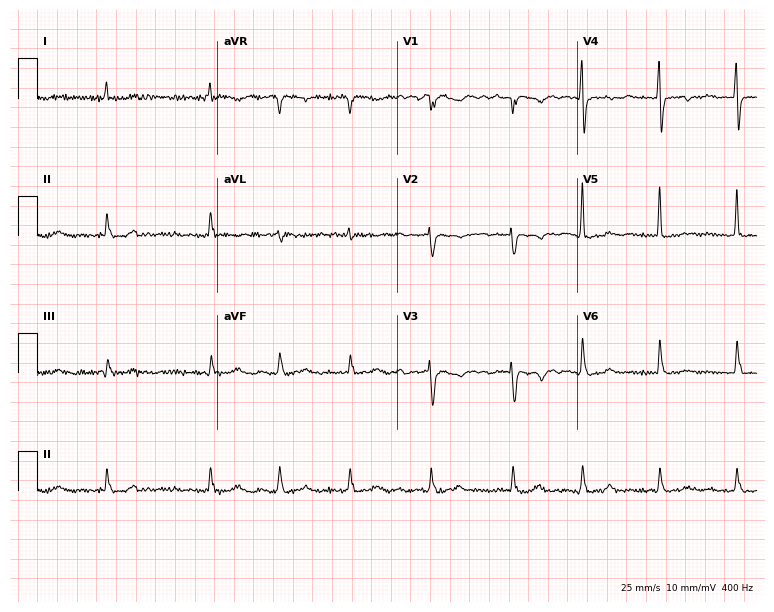
Standard 12-lead ECG recorded from a 78-year-old woman (7.3-second recording at 400 Hz). The tracing shows atrial fibrillation.